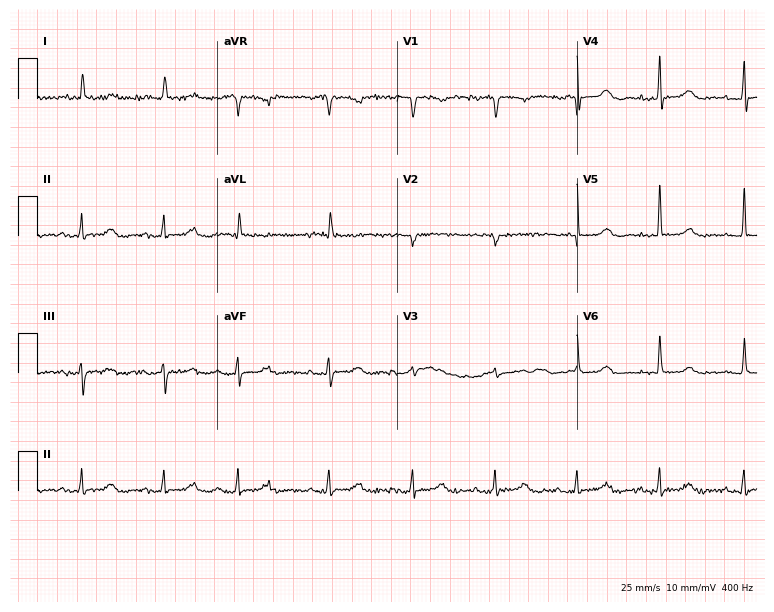
Standard 12-lead ECG recorded from an 84-year-old female (7.3-second recording at 400 Hz). None of these six findings is recorded: first-degree AV block, right bundle branch block (RBBB), left bundle branch block (LBBB), sinus bradycardia, atrial fibrillation (AF), sinus tachycardia.